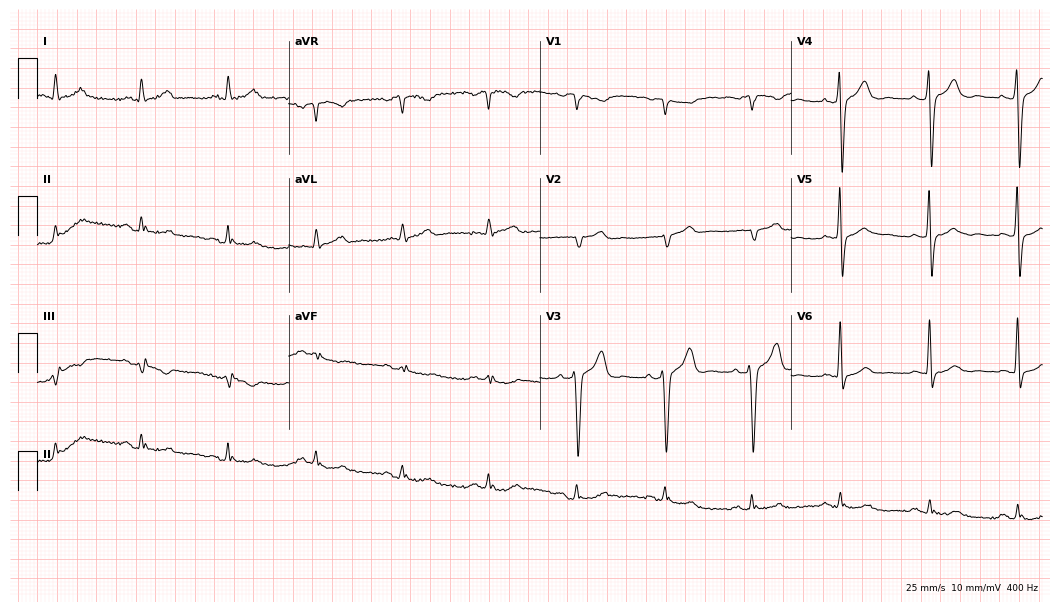
ECG — a man, 59 years old. Screened for six findings — first-degree AV block, right bundle branch block (RBBB), left bundle branch block (LBBB), sinus bradycardia, atrial fibrillation (AF), sinus tachycardia — none is recorded.